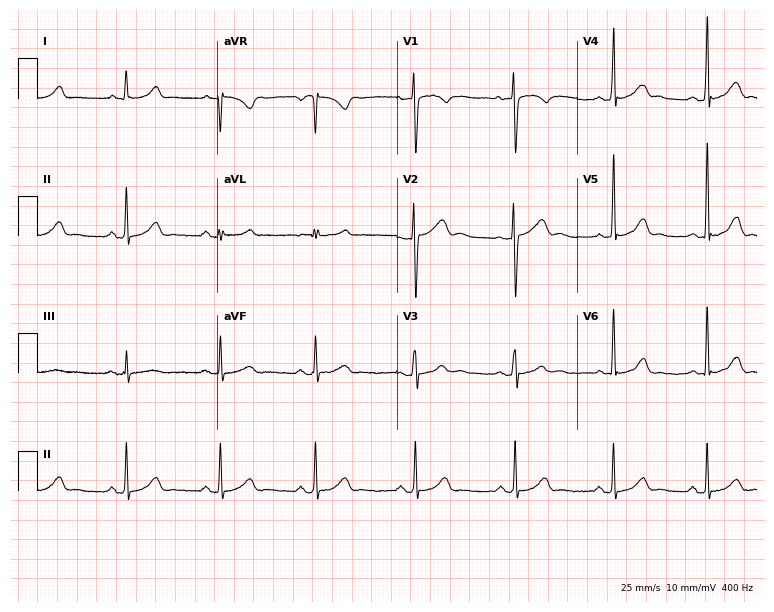
12-lead ECG from a 38-year-old male patient (7.3-second recording at 400 Hz). Recorded interpretation: within normal limits.